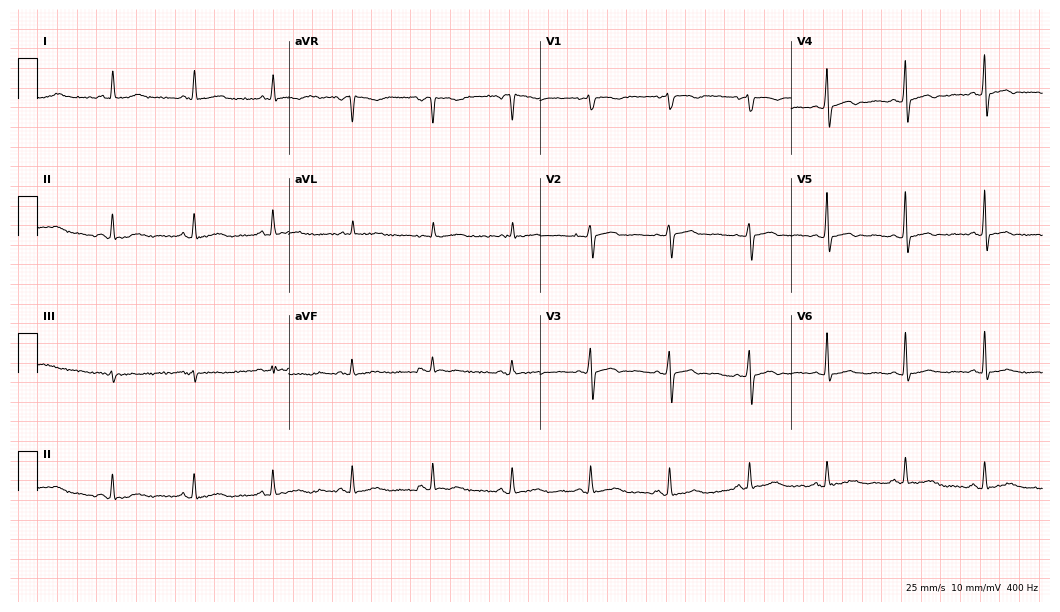
ECG — a 64-year-old female. Screened for six findings — first-degree AV block, right bundle branch block (RBBB), left bundle branch block (LBBB), sinus bradycardia, atrial fibrillation (AF), sinus tachycardia — none is recorded. Only these six findings were labelled.